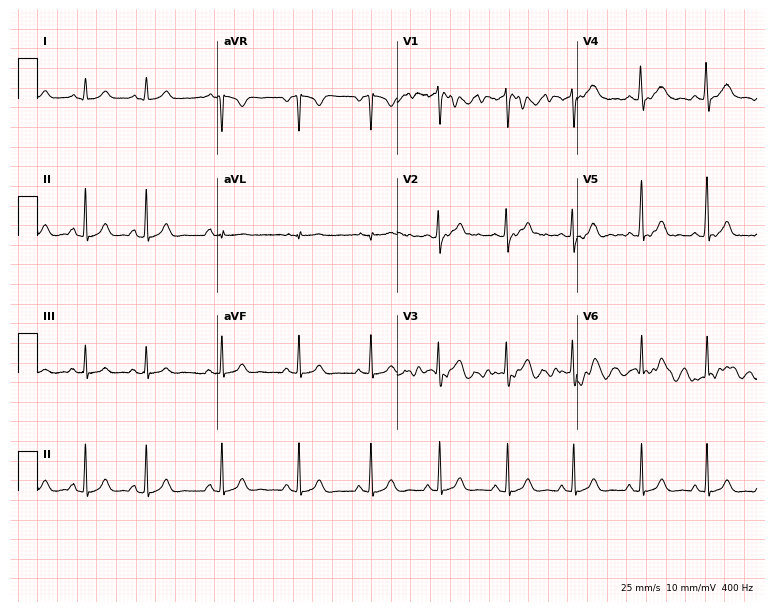
ECG — a female patient, 20 years old. Labelled as a normal ECG.